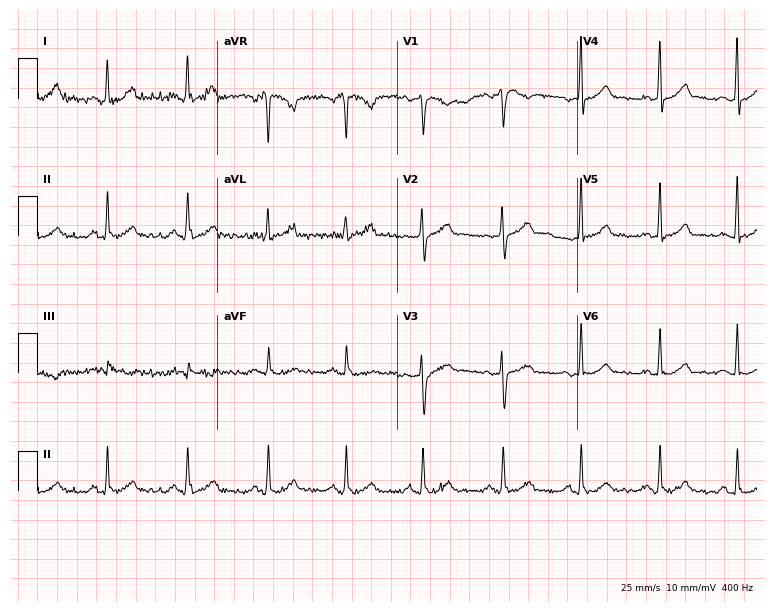
Electrocardiogram, a 37-year-old female patient. Overall reading on record: normal ECG.